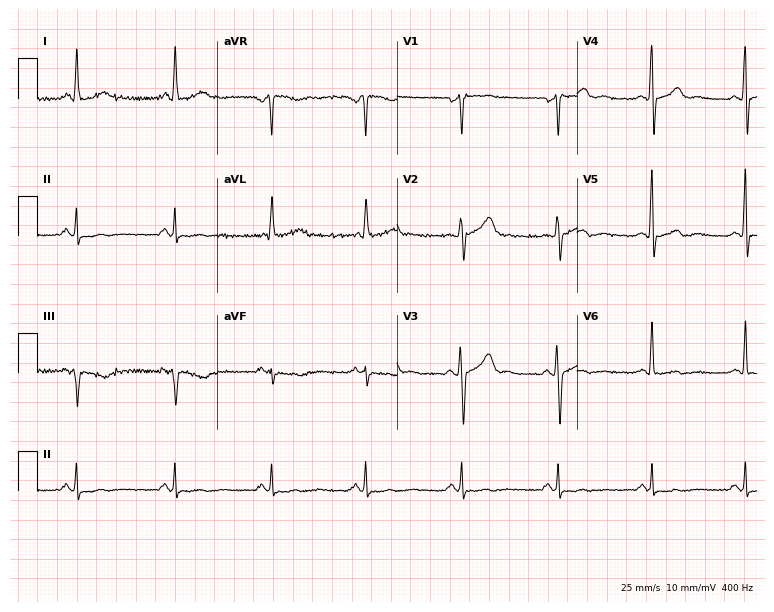
Standard 12-lead ECG recorded from a male, 56 years old (7.3-second recording at 400 Hz). None of these six findings is recorded: first-degree AV block, right bundle branch block, left bundle branch block, sinus bradycardia, atrial fibrillation, sinus tachycardia. Other findings, if any, are not listed.